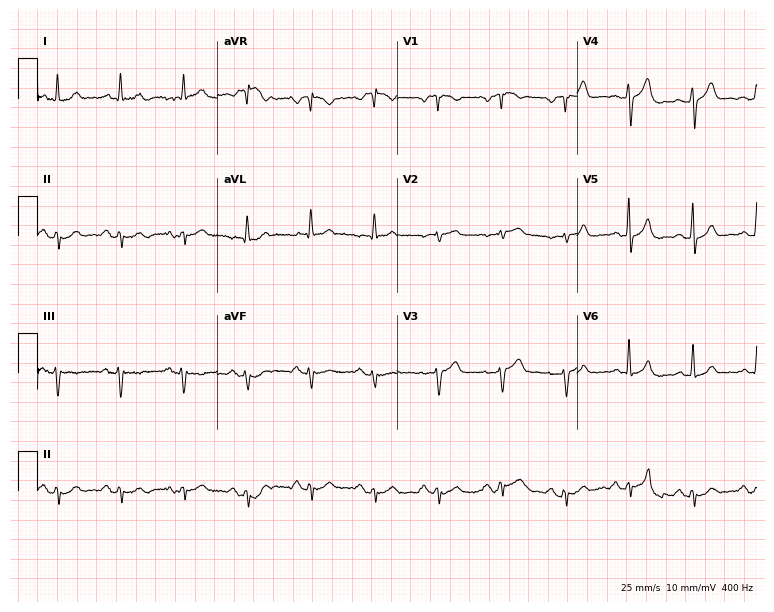
Standard 12-lead ECG recorded from an 83-year-old male patient. None of these six findings is recorded: first-degree AV block, right bundle branch block, left bundle branch block, sinus bradycardia, atrial fibrillation, sinus tachycardia. Only these six findings were labelled.